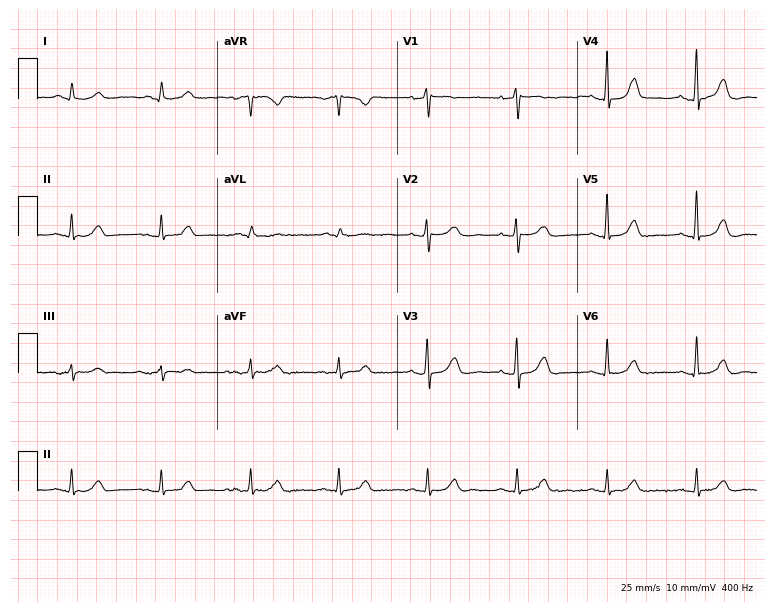
12-lead ECG from a woman, 78 years old (7.3-second recording at 400 Hz). Recorded interpretation: within normal limits.